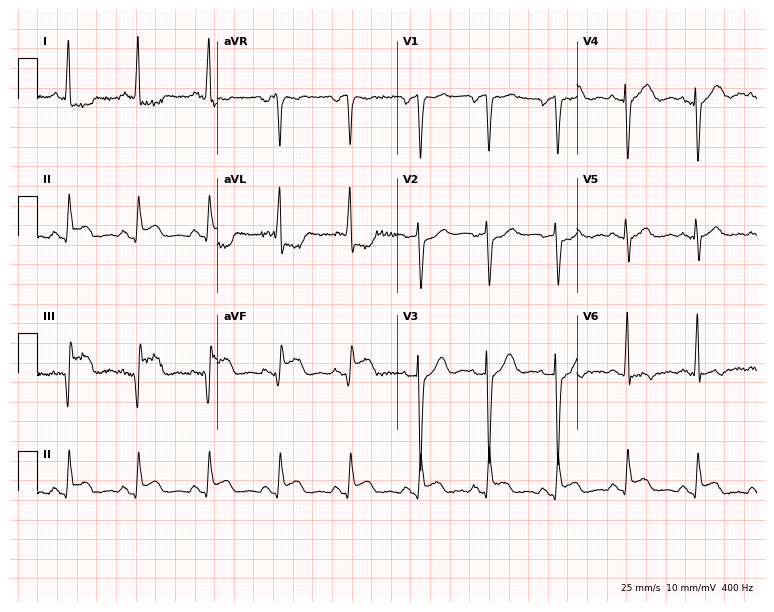
12-lead ECG from a 56-year-old man. No first-degree AV block, right bundle branch block (RBBB), left bundle branch block (LBBB), sinus bradycardia, atrial fibrillation (AF) or sinus tachycardia recorded for this tracing.